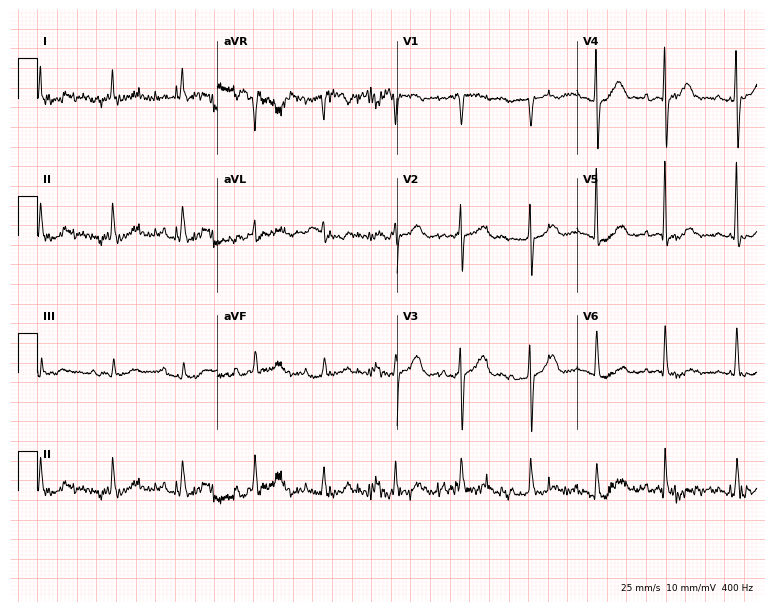
12-lead ECG (7.3-second recording at 400 Hz) from a 76-year-old male patient. Screened for six findings — first-degree AV block, right bundle branch block (RBBB), left bundle branch block (LBBB), sinus bradycardia, atrial fibrillation (AF), sinus tachycardia — none is recorded. Other findings, if any, are not listed.